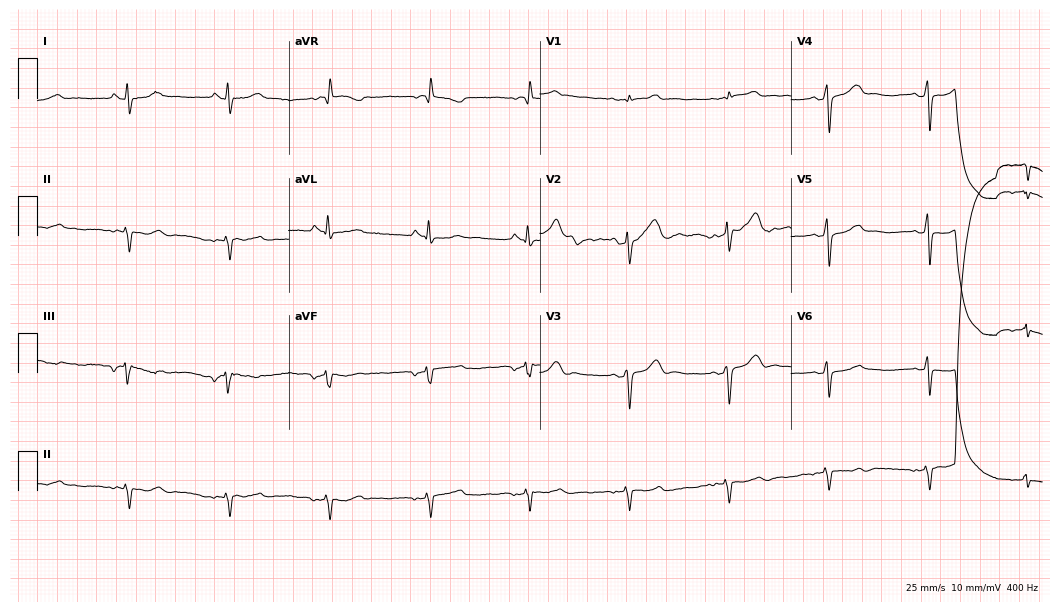
Electrocardiogram, a woman, 67 years old. Of the six screened findings (first-degree AV block, right bundle branch block, left bundle branch block, sinus bradycardia, atrial fibrillation, sinus tachycardia), none is recorded.